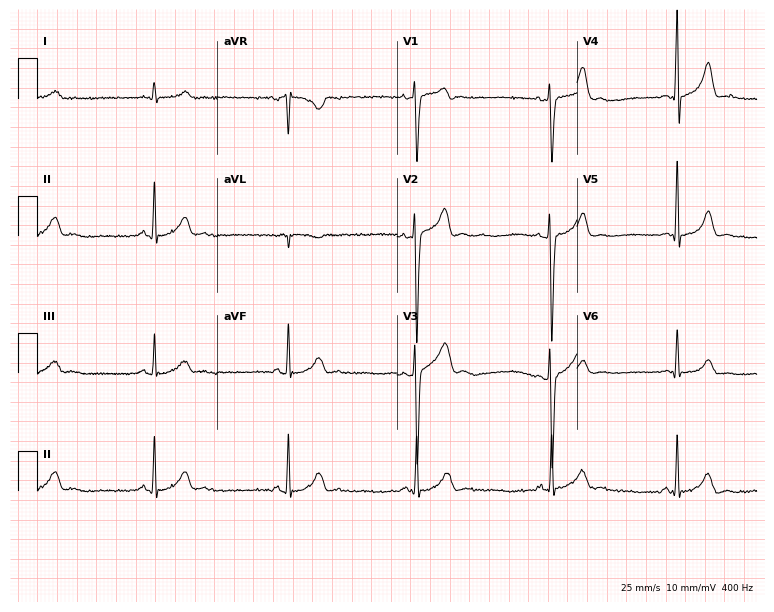
Standard 12-lead ECG recorded from a 37-year-old male patient (7.3-second recording at 400 Hz). The tracing shows sinus bradycardia (a sinus rate of 50 beats per minute or less).